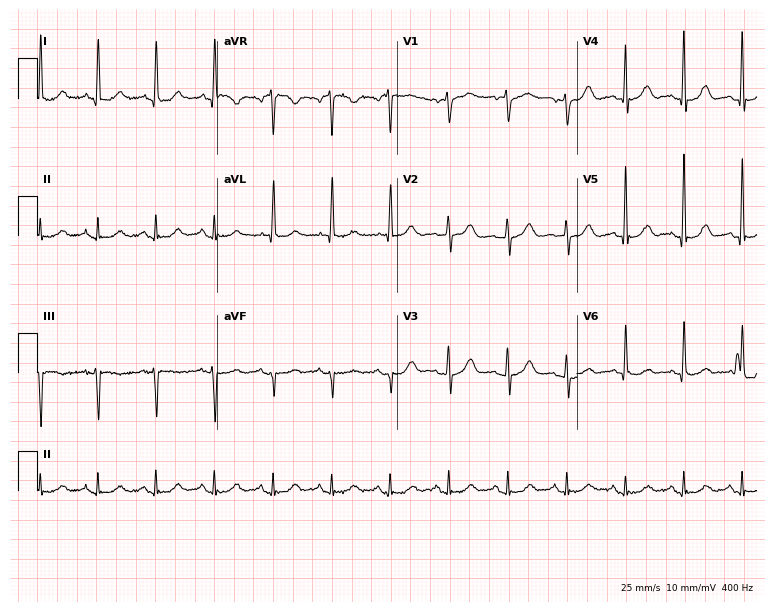
12-lead ECG (7.3-second recording at 400 Hz) from a female, 78 years old. Screened for six findings — first-degree AV block, right bundle branch block, left bundle branch block, sinus bradycardia, atrial fibrillation, sinus tachycardia — none is recorded.